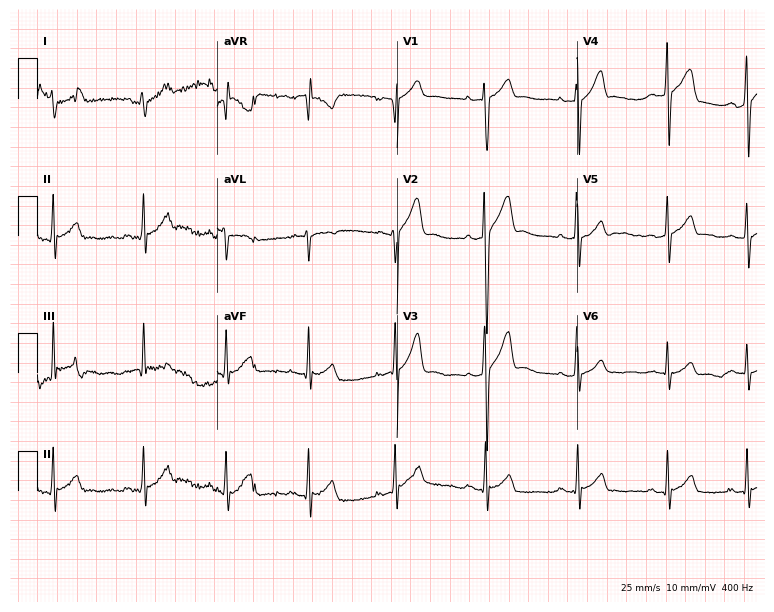
Electrocardiogram (7.3-second recording at 400 Hz), a male patient, 20 years old. Overall reading on record: normal ECG.